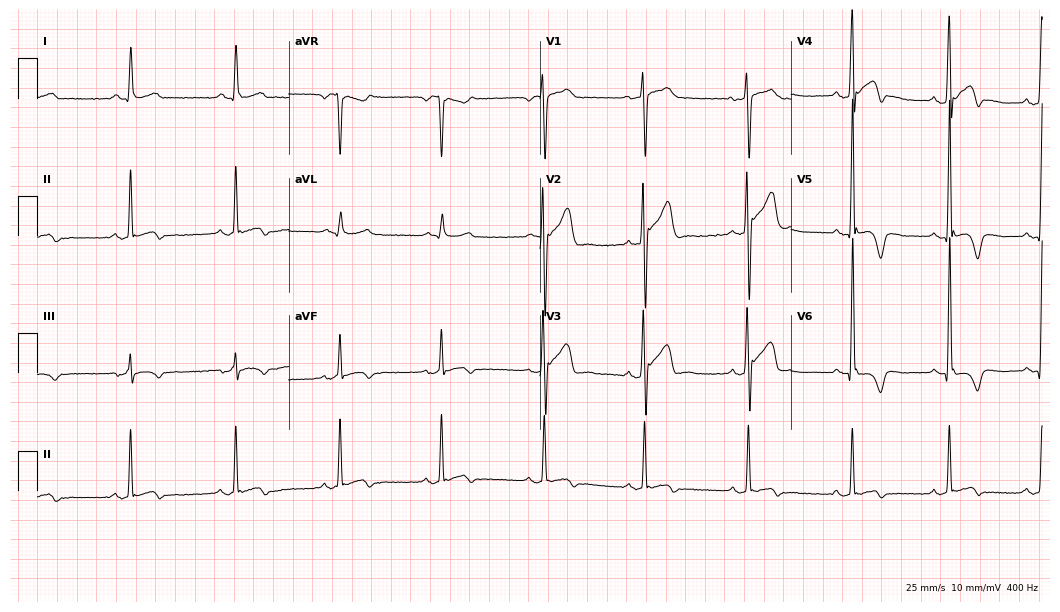
Resting 12-lead electrocardiogram. Patient: a male, 30 years old. None of these six findings is recorded: first-degree AV block, right bundle branch block, left bundle branch block, sinus bradycardia, atrial fibrillation, sinus tachycardia.